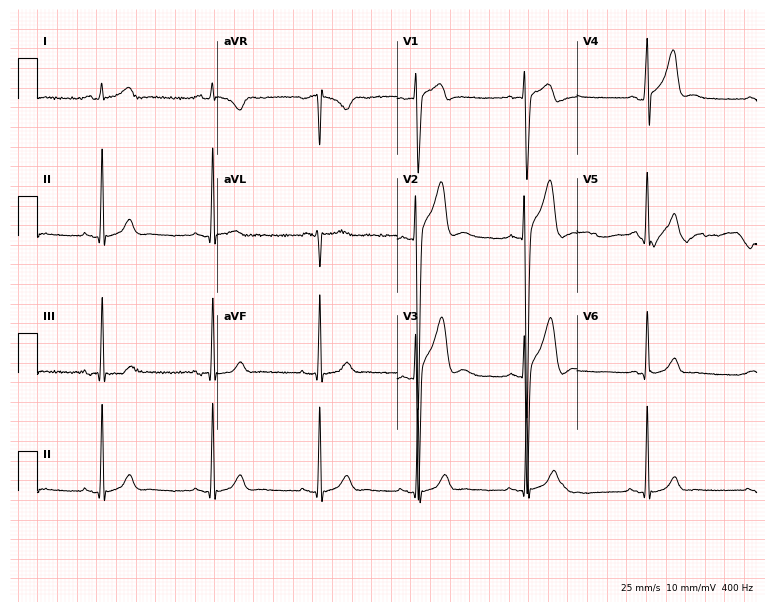
12-lead ECG (7.3-second recording at 400 Hz) from a male, 29 years old. Screened for six findings — first-degree AV block, right bundle branch block, left bundle branch block, sinus bradycardia, atrial fibrillation, sinus tachycardia — none is recorded. Only these six findings were labelled.